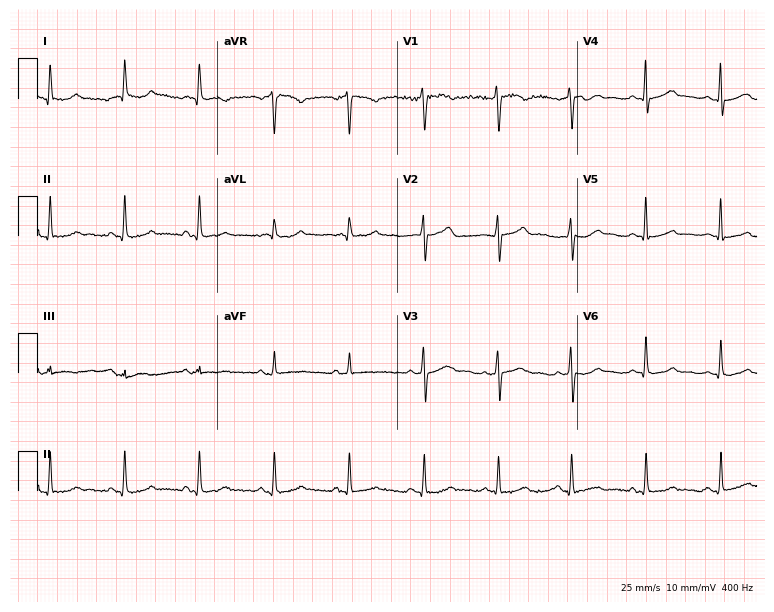
12-lead ECG from a female patient, 52 years old. Recorded interpretation: within normal limits.